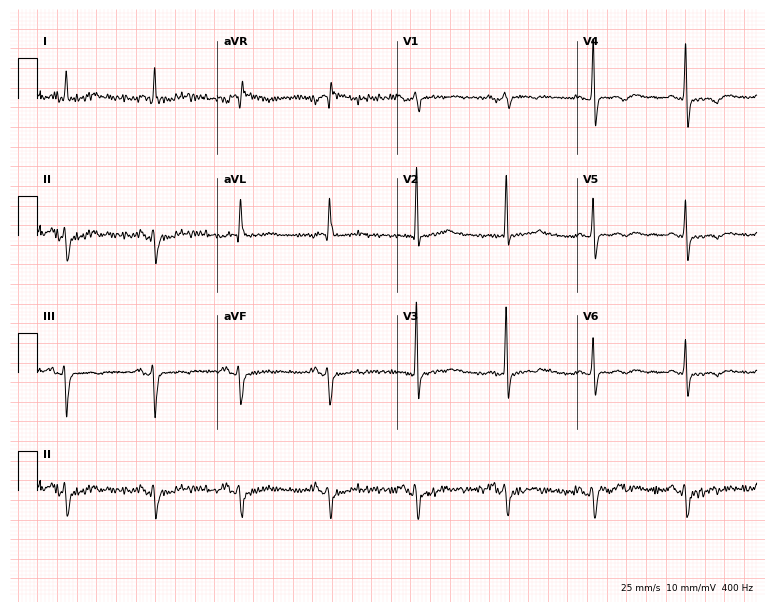
12-lead ECG (7.3-second recording at 400 Hz) from a 74-year-old male. Screened for six findings — first-degree AV block, right bundle branch block, left bundle branch block, sinus bradycardia, atrial fibrillation, sinus tachycardia — none is recorded. Only these six findings were labelled.